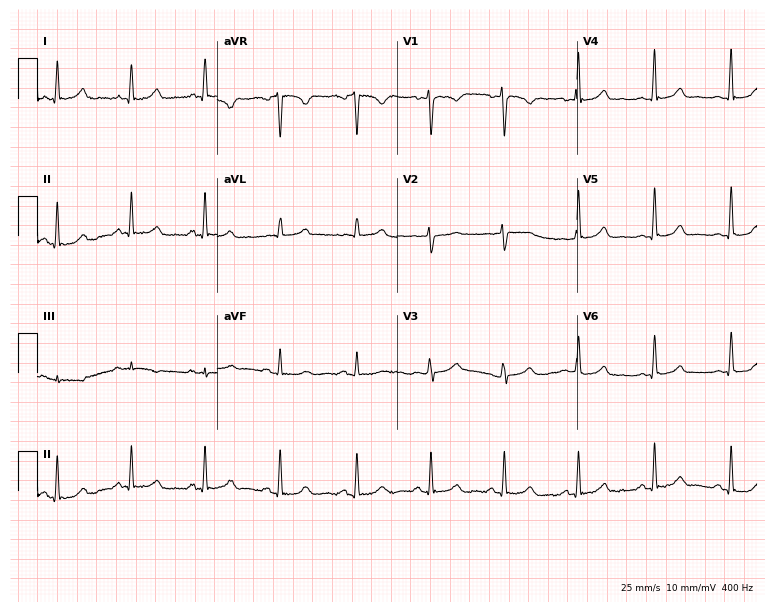
Electrocardiogram, a 40-year-old female. Overall reading on record: normal ECG.